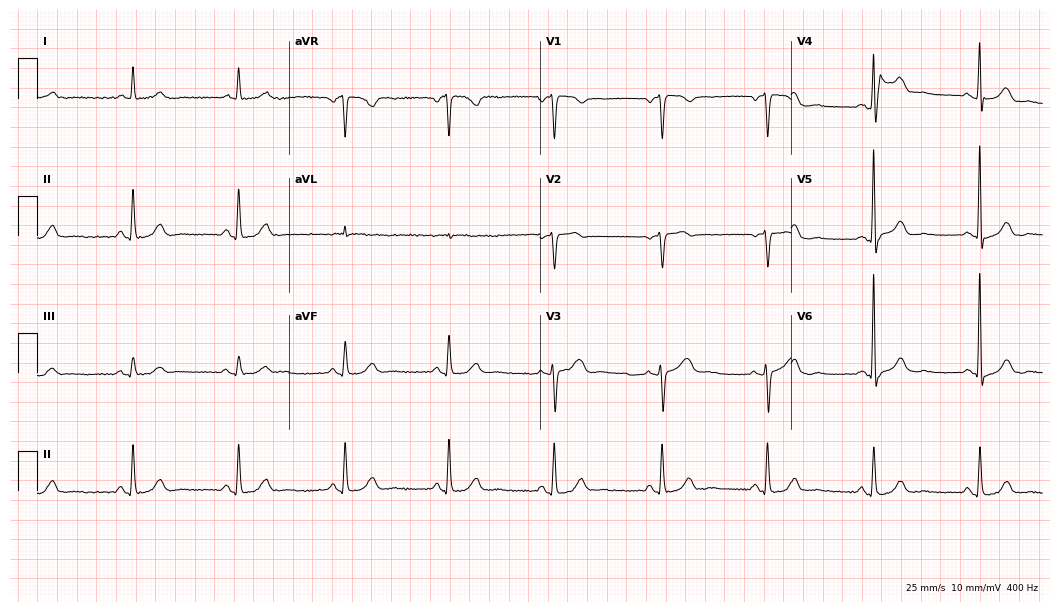
Standard 12-lead ECG recorded from a female patient, 78 years old (10.2-second recording at 400 Hz). None of these six findings is recorded: first-degree AV block, right bundle branch block, left bundle branch block, sinus bradycardia, atrial fibrillation, sinus tachycardia. Only these six findings were labelled.